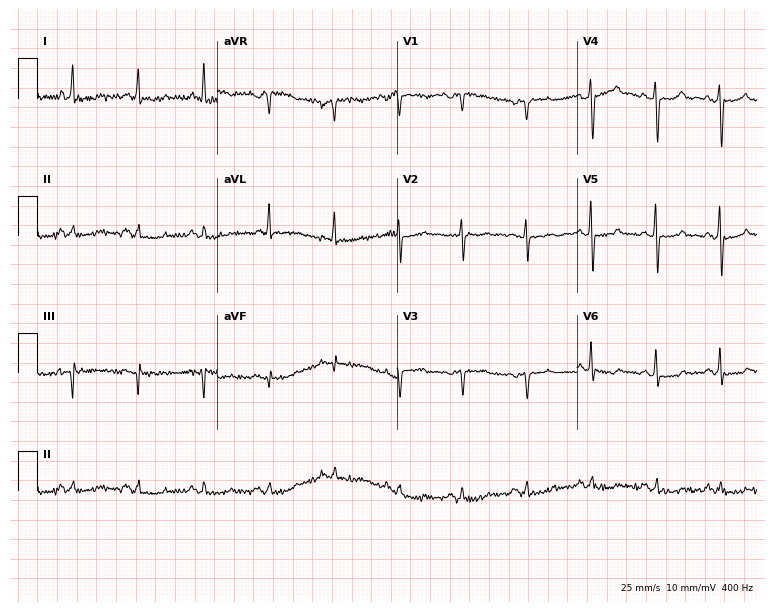
Electrocardiogram, a 65-year-old man. Of the six screened findings (first-degree AV block, right bundle branch block, left bundle branch block, sinus bradycardia, atrial fibrillation, sinus tachycardia), none is recorded. Other findings, if any, are not listed.